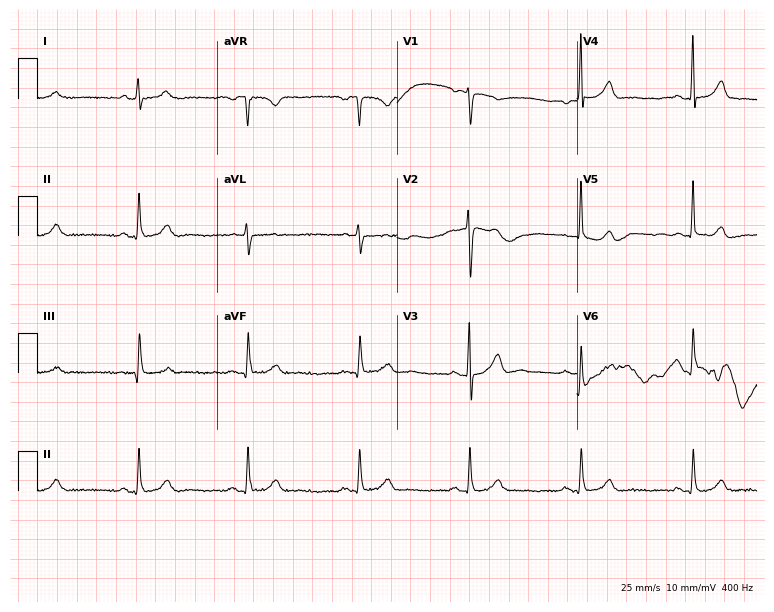
Standard 12-lead ECG recorded from an 80-year-old woman. None of these six findings is recorded: first-degree AV block, right bundle branch block, left bundle branch block, sinus bradycardia, atrial fibrillation, sinus tachycardia. Other findings, if any, are not listed.